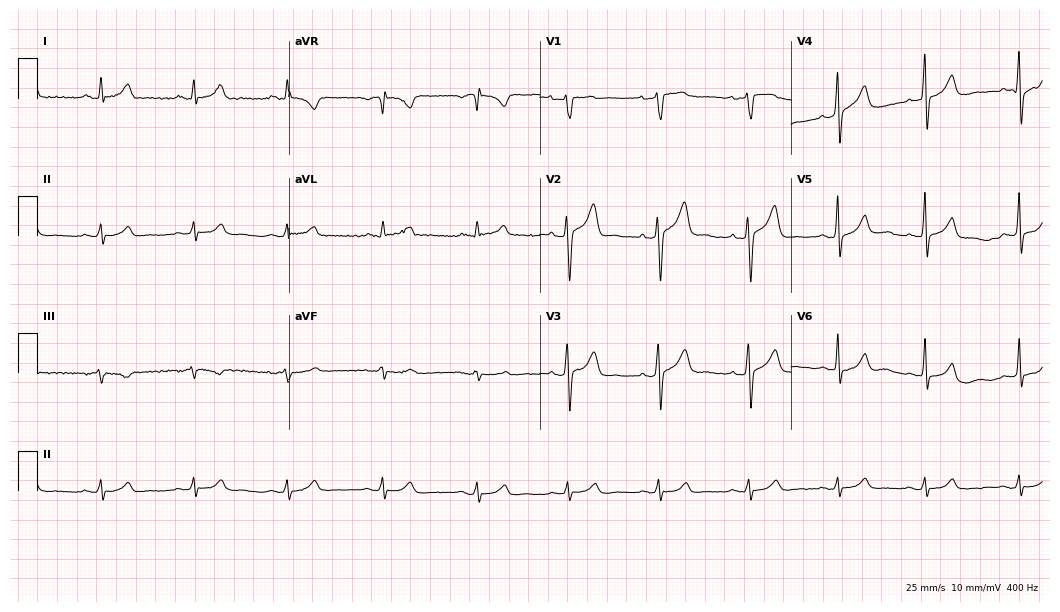
Electrocardiogram (10.2-second recording at 400 Hz), a male, 36 years old. Overall reading on record: normal ECG.